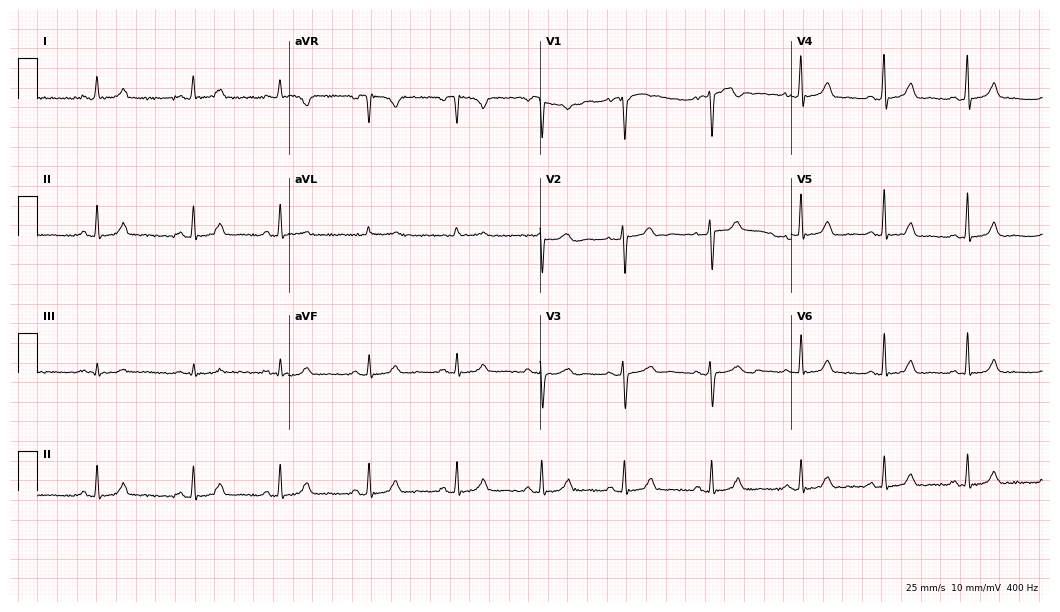
Standard 12-lead ECG recorded from a 48-year-old woman. Read as a normal ECG.